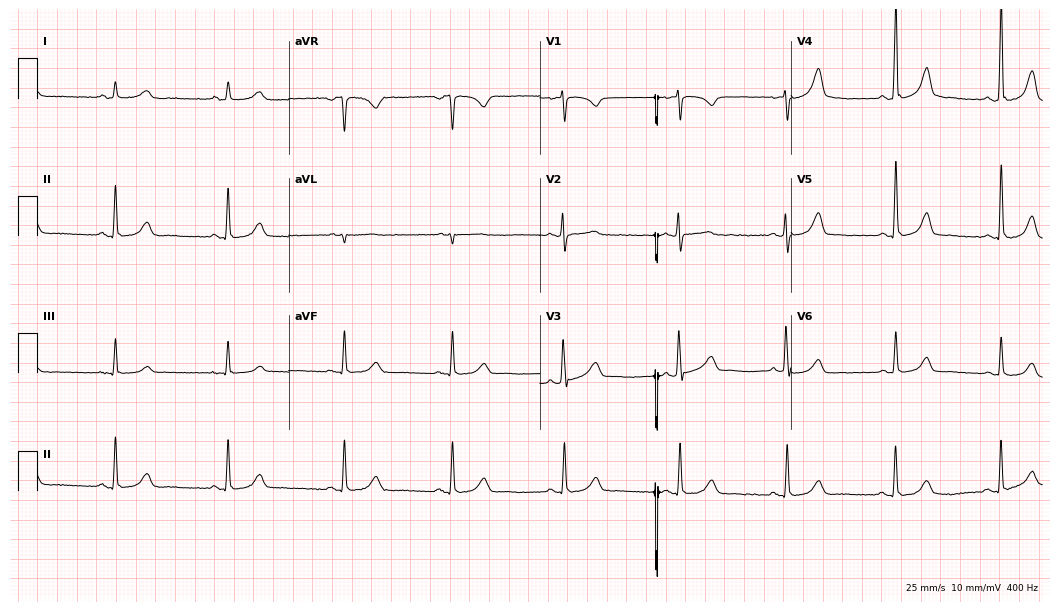
ECG (10.2-second recording at 400 Hz) — a 50-year-old female patient. Screened for six findings — first-degree AV block, right bundle branch block, left bundle branch block, sinus bradycardia, atrial fibrillation, sinus tachycardia — none is recorded. Findings outside these six are not listed.